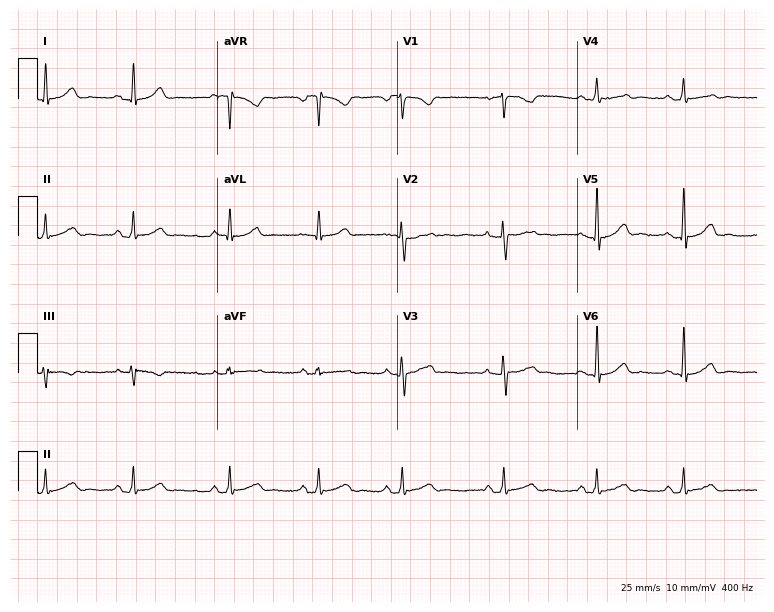
12-lead ECG from a woman, 20 years old (7.3-second recording at 400 Hz). Recorded interpretation: within normal limits.